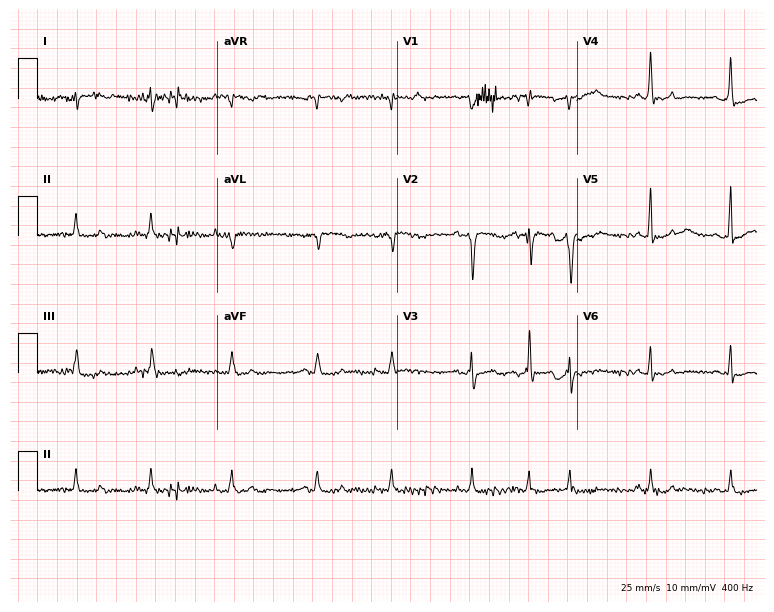
Resting 12-lead electrocardiogram. Patient: a 77-year-old male. None of these six findings is recorded: first-degree AV block, right bundle branch block (RBBB), left bundle branch block (LBBB), sinus bradycardia, atrial fibrillation (AF), sinus tachycardia.